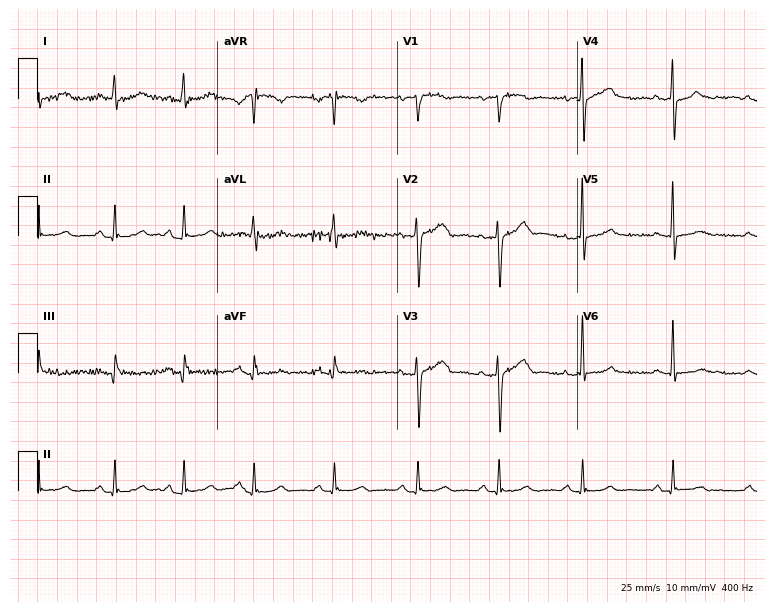
12-lead ECG from a woman, 50 years old (7.3-second recording at 400 Hz). No first-degree AV block, right bundle branch block, left bundle branch block, sinus bradycardia, atrial fibrillation or sinus tachycardia recorded for this tracing.